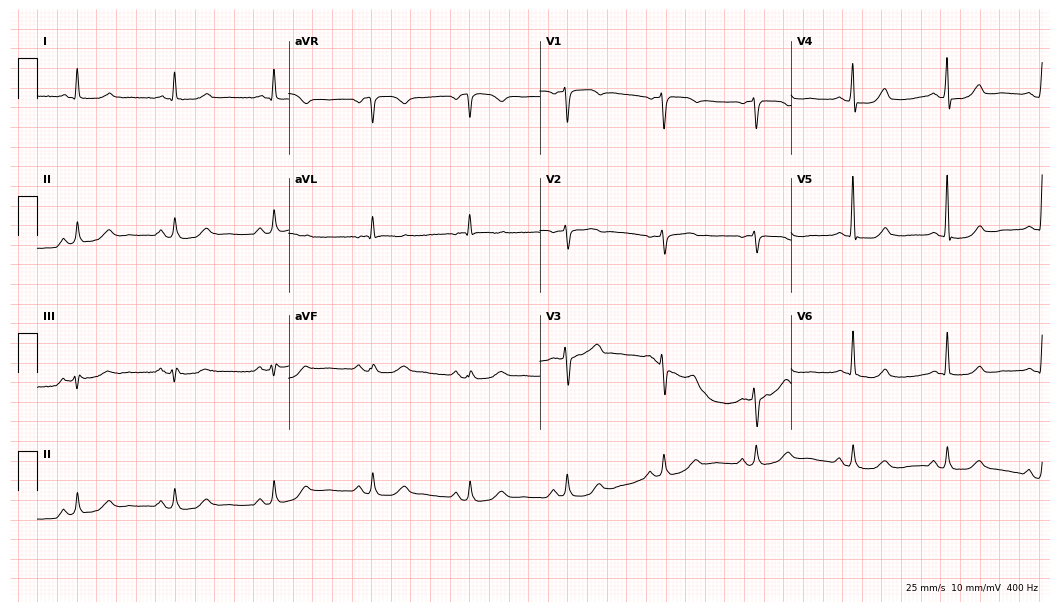
Electrocardiogram (10.2-second recording at 400 Hz), a female patient, 64 years old. Overall reading on record: normal ECG.